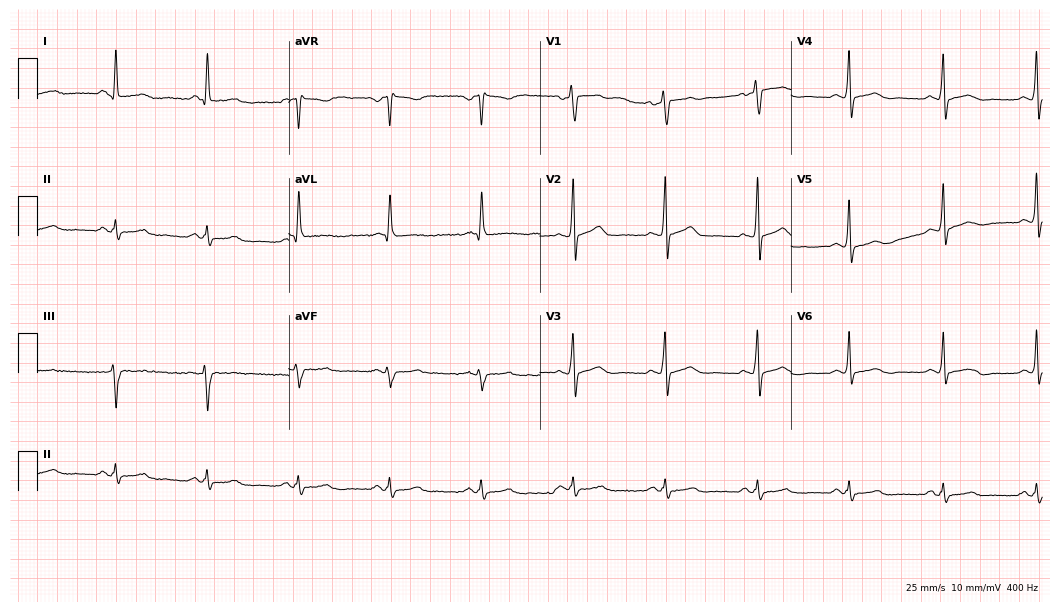
12-lead ECG from a man, 65 years old (10.2-second recording at 400 Hz). No first-degree AV block, right bundle branch block (RBBB), left bundle branch block (LBBB), sinus bradycardia, atrial fibrillation (AF) or sinus tachycardia recorded for this tracing. Other findings, if any, are not listed.